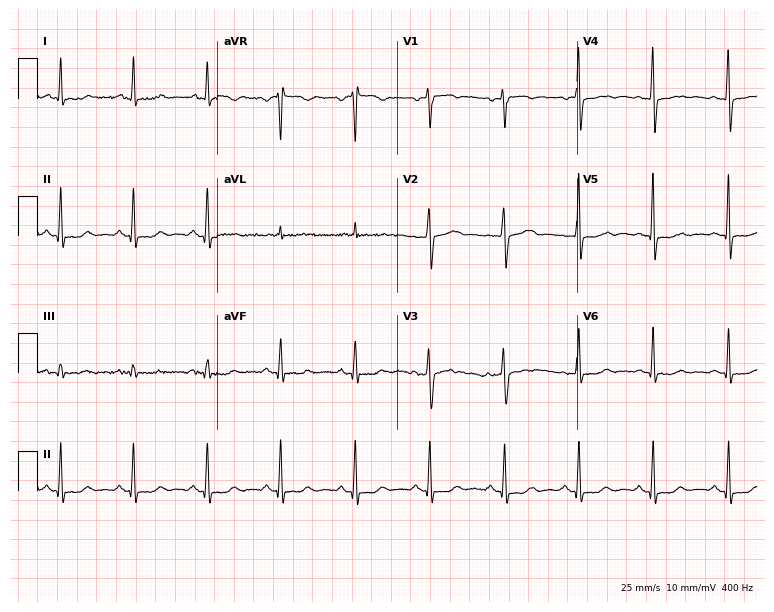
12-lead ECG (7.3-second recording at 400 Hz) from a woman, 51 years old. Screened for six findings — first-degree AV block, right bundle branch block, left bundle branch block, sinus bradycardia, atrial fibrillation, sinus tachycardia — none is recorded. Other findings, if any, are not listed.